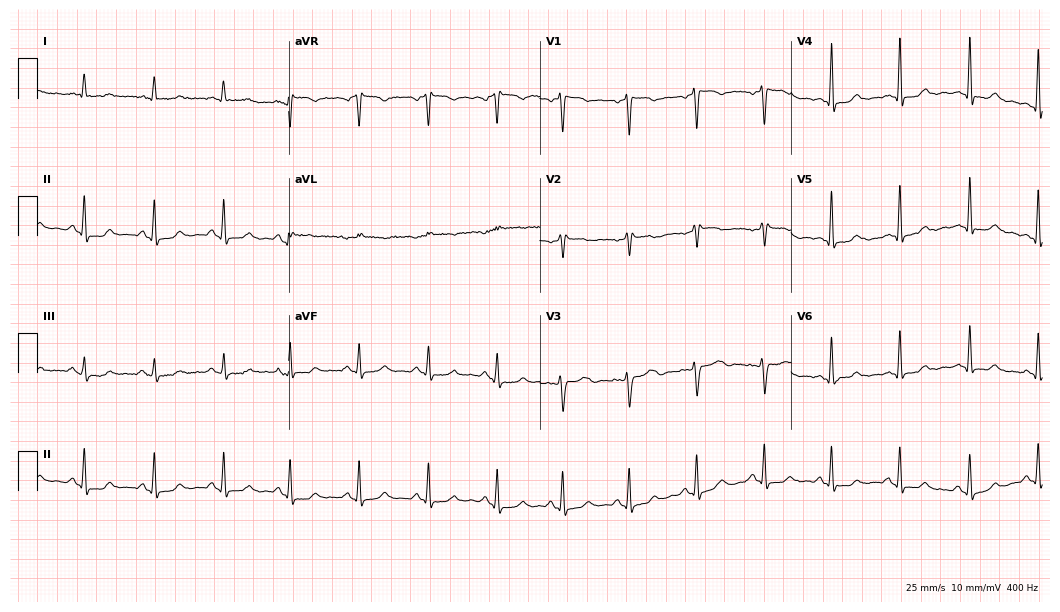
Electrocardiogram (10.2-second recording at 400 Hz), a 51-year-old woman. Of the six screened findings (first-degree AV block, right bundle branch block, left bundle branch block, sinus bradycardia, atrial fibrillation, sinus tachycardia), none is recorded.